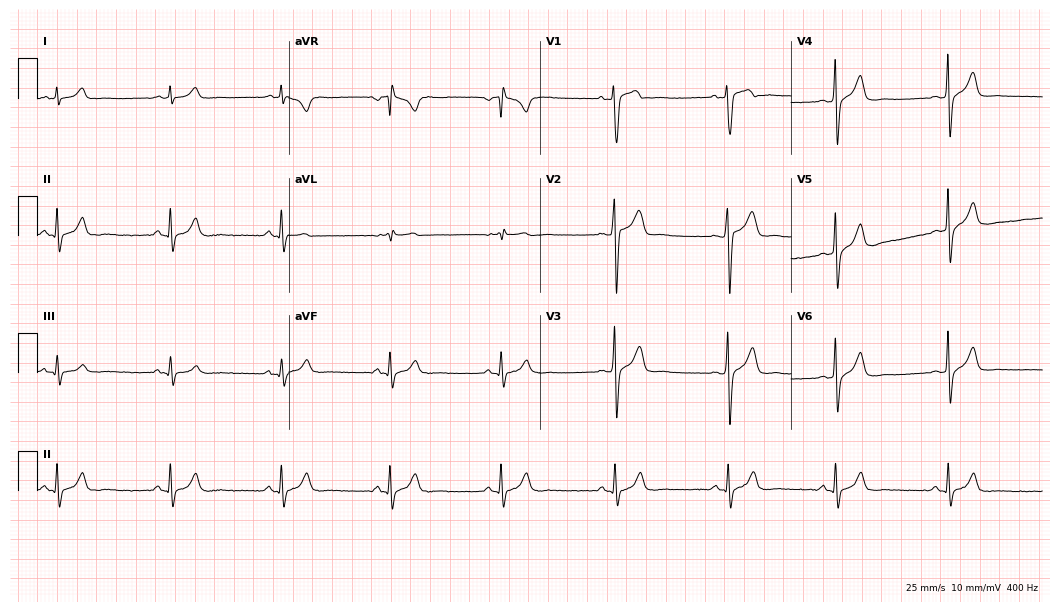
Resting 12-lead electrocardiogram (10.2-second recording at 400 Hz). Patient: a 32-year-old male. Read as a normal ECG.